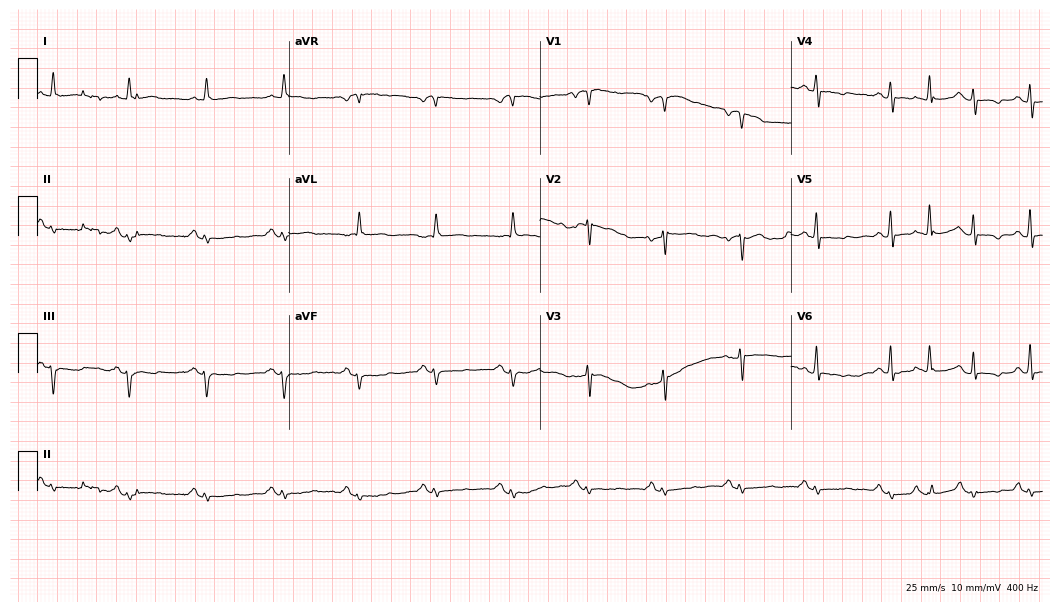
12-lead ECG from a woman, 73 years old (10.2-second recording at 400 Hz). No first-degree AV block, right bundle branch block, left bundle branch block, sinus bradycardia, atrial fibrillation or sinus tachycardia recorded for this tracing. Only these six findings were labelled.